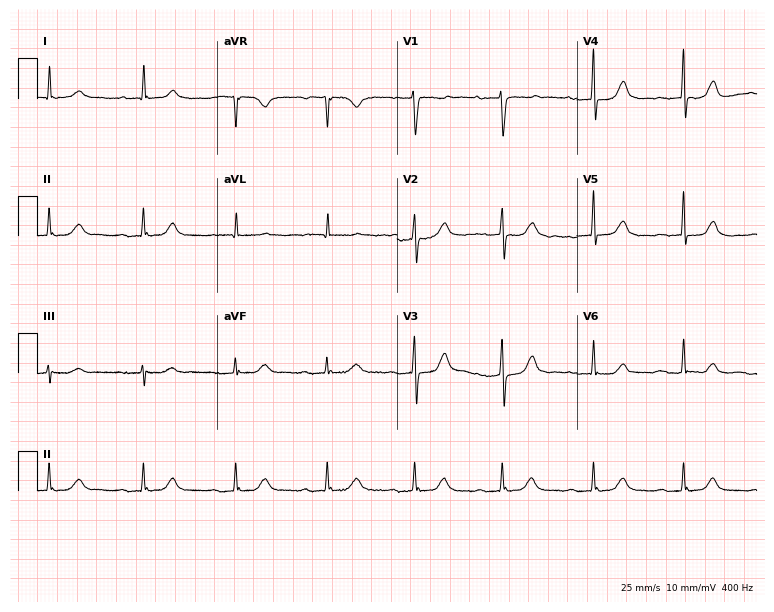
Resting 12-lead electrocardiogram (7.3-second recording at 400 Hz). Patient: a woman, 82 years old. The tracing shows first-degree AV block.